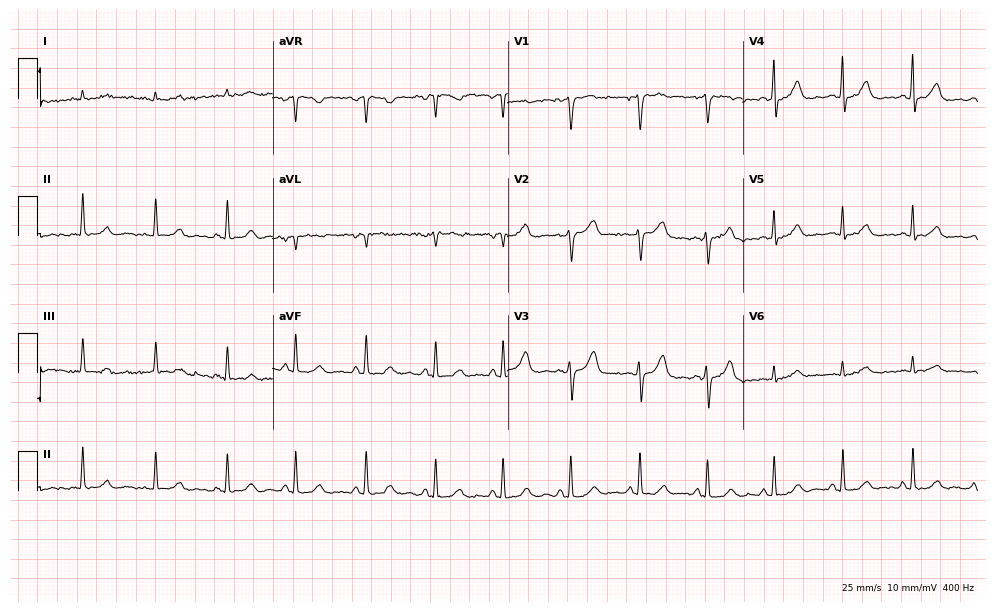
ECG (9.6-second recording at 400 Hz) — a woman, 67 years old. Screened for six findings — first-degree AV block, right bundle branch block (RBBB), left bundle branch block (LBBB), sinus bradycardia, atrial fibrillation (AF), sinus tachycardia — none is recorded. Other findings, if any, are not listed.